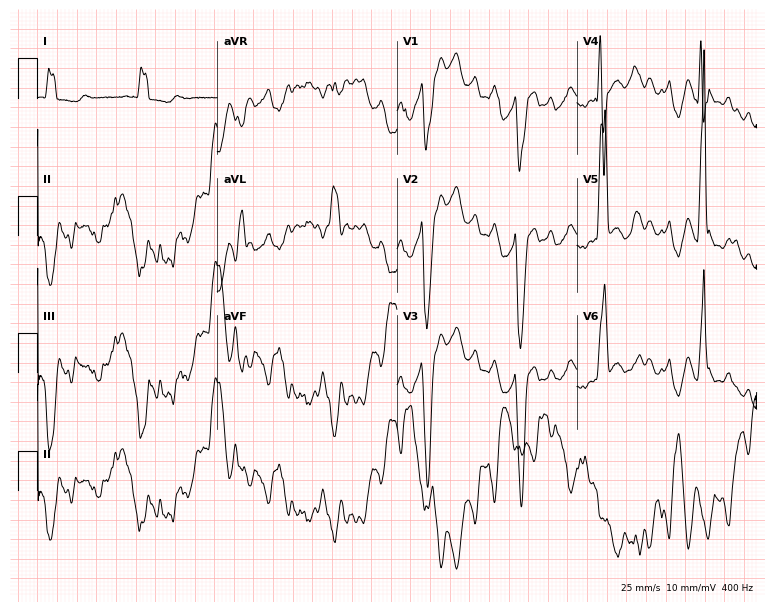
Electrocardiogram (7.3-second recording at 400 Hz), a female, 74 years old. Of the six screened findings (first-degree AV block, right bundle branch block, left bundle branch block, sinus bradycardia, atrial fibrillation, sinus tachycardia), none is recorded. Other findings, if any, are not listed.